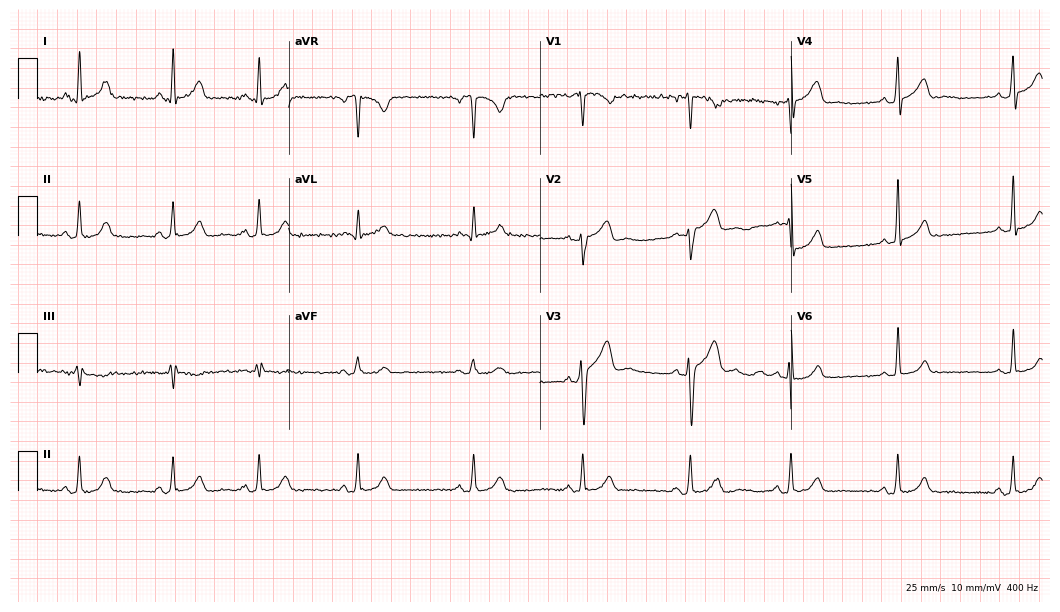
12-lead ECG from a 30-year-old male patient (10.2-second recording at 400 Hz). Recorded interpretation: within normal limits.